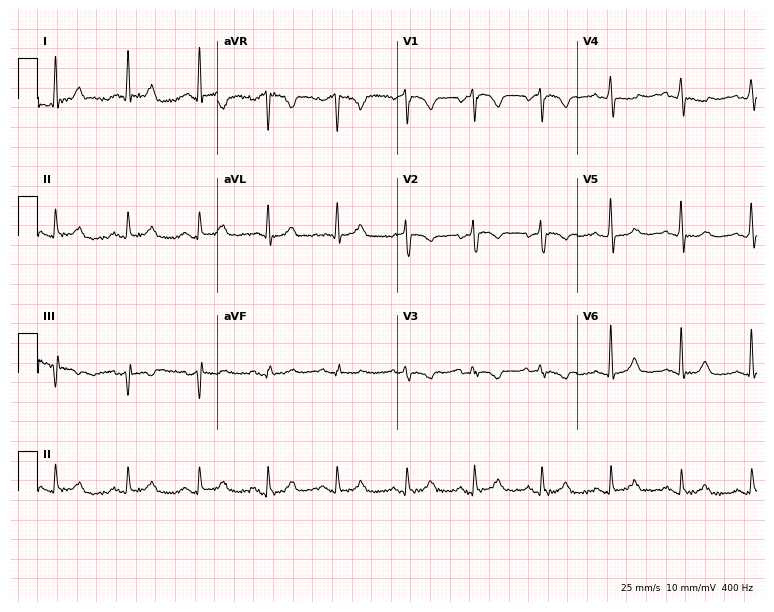
Standard 12-lead ECG recorded from a female patient, 74 years old. Read as a normal ECG.